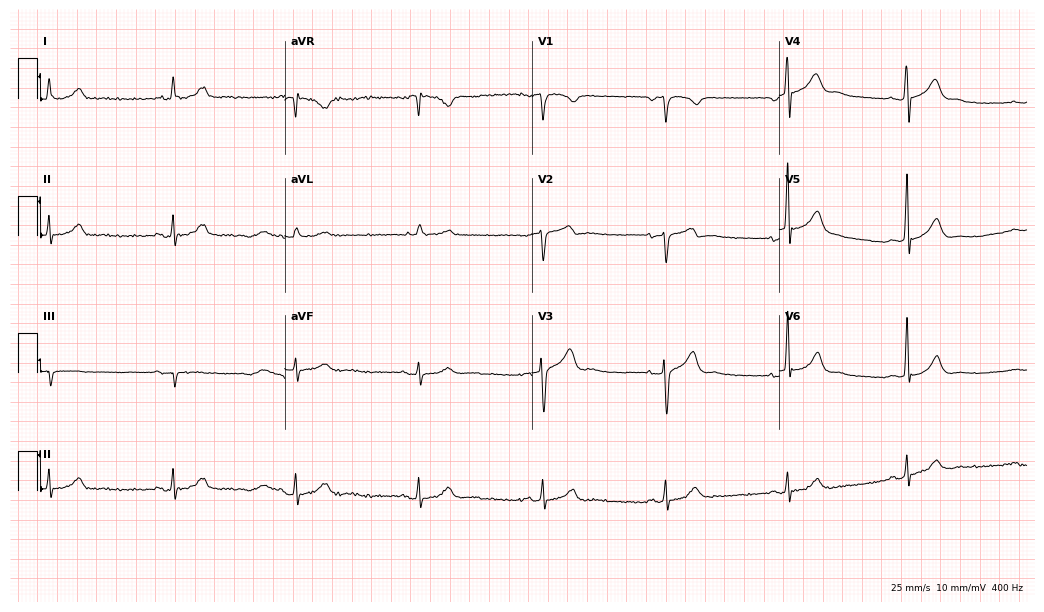
Electrocardiogram (10.1-second recording at 400 Hz), a 69-year-old male patient. Overall reading on record: normal ECG.